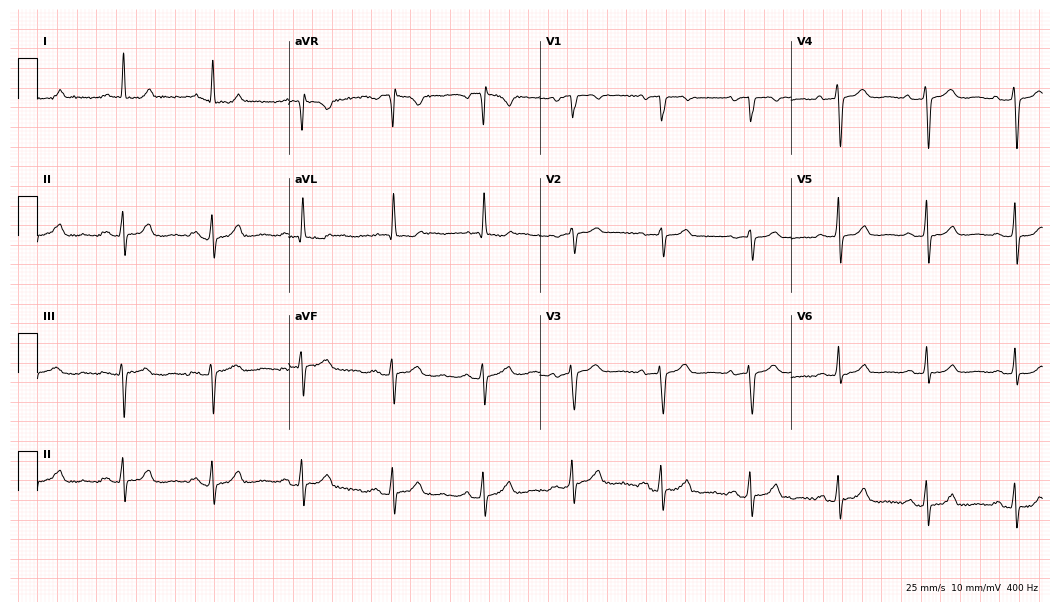
12-lead ECG from a female, 65 years old (10.2-second recording at 400 Hz). Recorded interpretation: within normal limits.